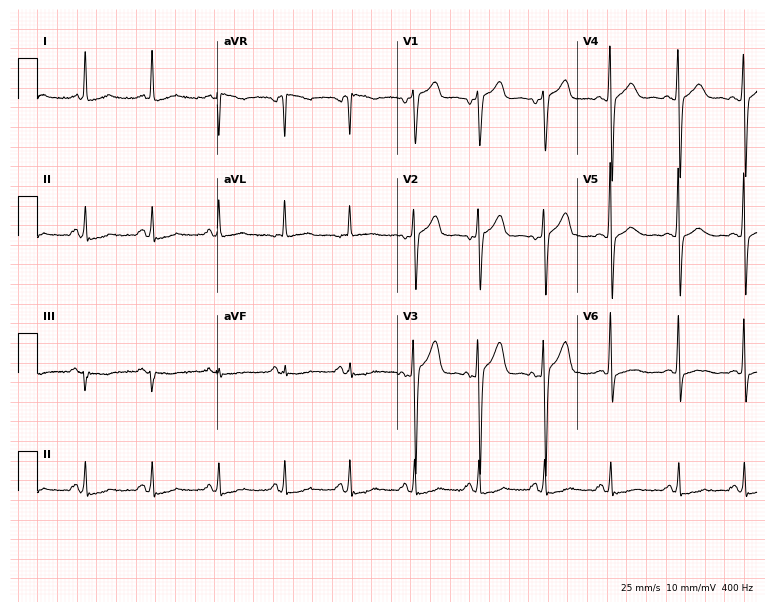
Resting 12-lead electrocardiogram (7.3-second recording at 400 Hz). Patient: a male, 35 years old. Read as a normal ECG.